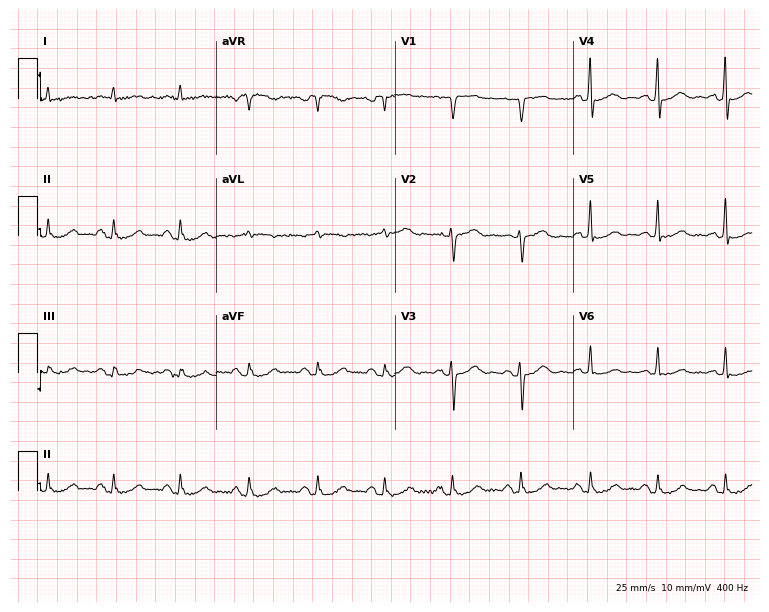
ECG — a male patient, 74 years old. Screened for six findings — first-degree AV block, right bundle branch block, left bundle branch block, sinus bradycardia, atrial fibrillation, sinus tachycardia — none is recorded. Findings outside these six are not listed.